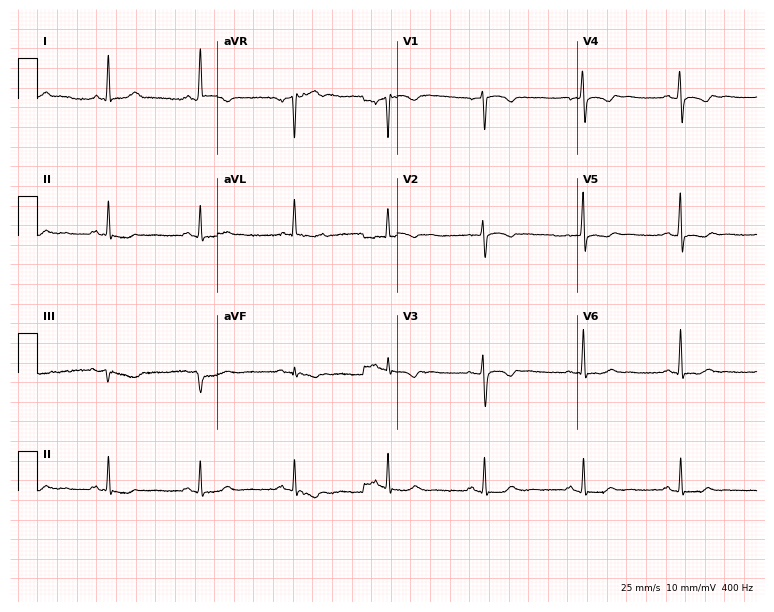
Resting 12-lead electrocardiogram. Patient: a female, 59 years old. None of these six findings is recorded: first-degree AV block, right bundle branch block, left bundle branch block, sinus bradycardia, atrial fibrillation, sinus tachycardia.